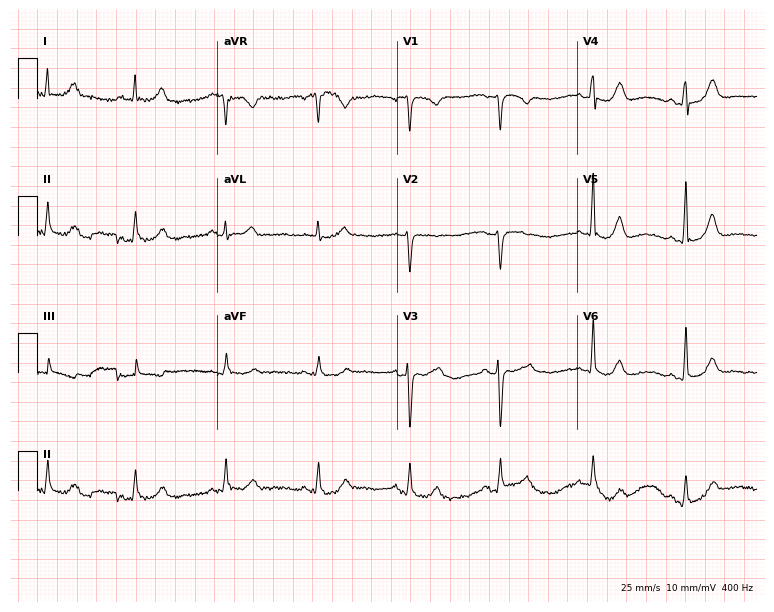
Resting 12-lead electrocardiogram (7.3-second recording at 400 Hz). Patient: a woman, 56 years old. None of these six findings is recorded: first-degree AV block, right bundle branch block, left bundle branch block, sinus bradycardia, atrial fibrillation, sinus tachycardia.